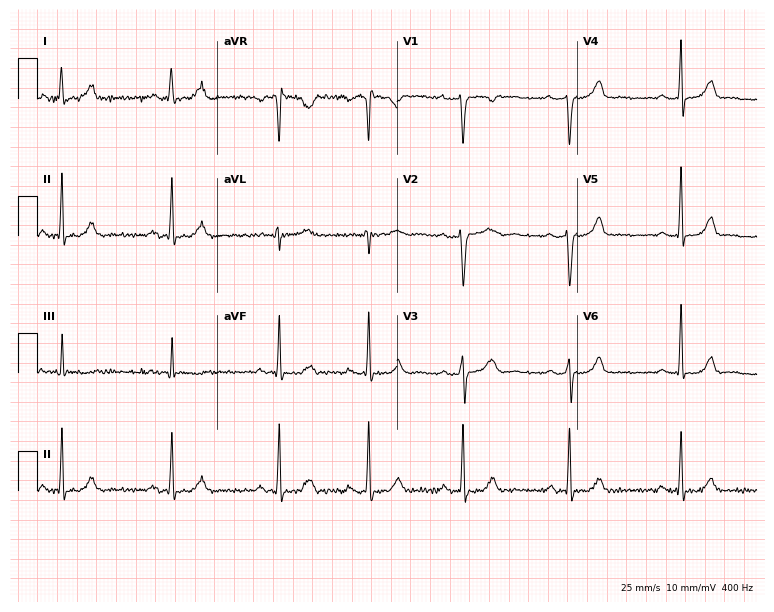
12-lead ECG (7.3-second recording at 400 Hz) from a female, 34 years old. Screened for six findings — first-degree AV block, right bundle branch block, left bundle branch block, sinus bradycardia, atrial fibrillation, sinus tachycardia — none is recorded. Other findings, if any, are not listed.